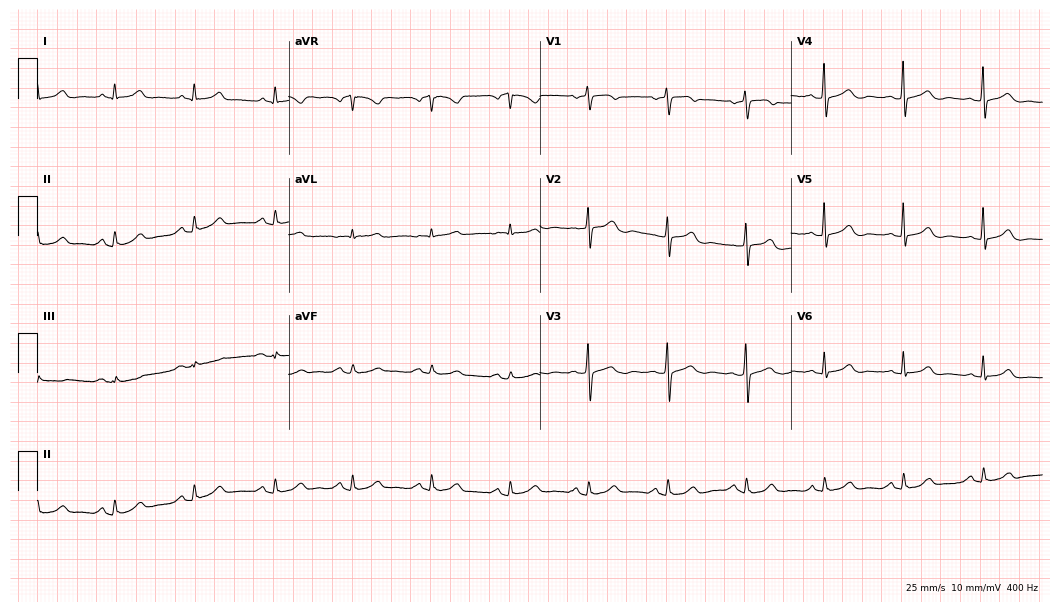
Resting 12-lead electrocardiogram. Patient: a 66-year-old woman. Read as a normal ECG.